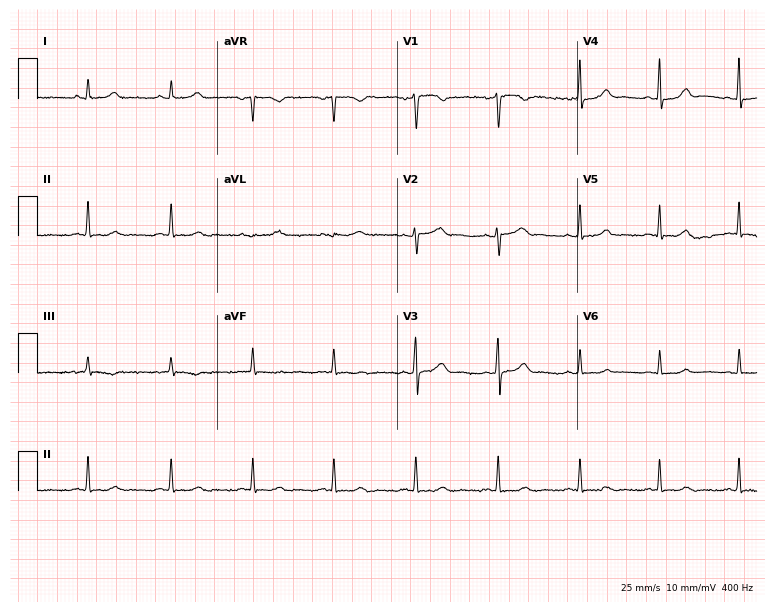
ECG (7.3-second recording at 400 Hz) — a 36-year-old female. Labelled as a normal ECG.